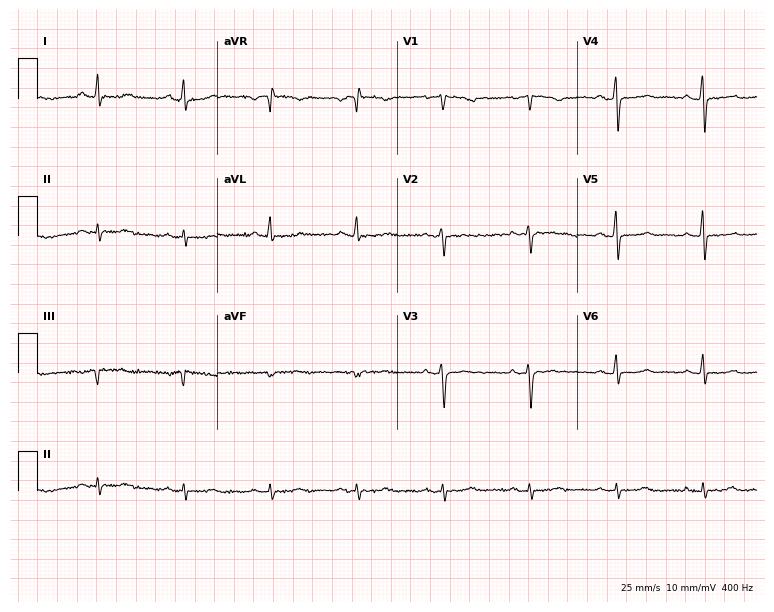
12-lead ECG from a 48-year-old female patient. Labelled as a normal ECG.